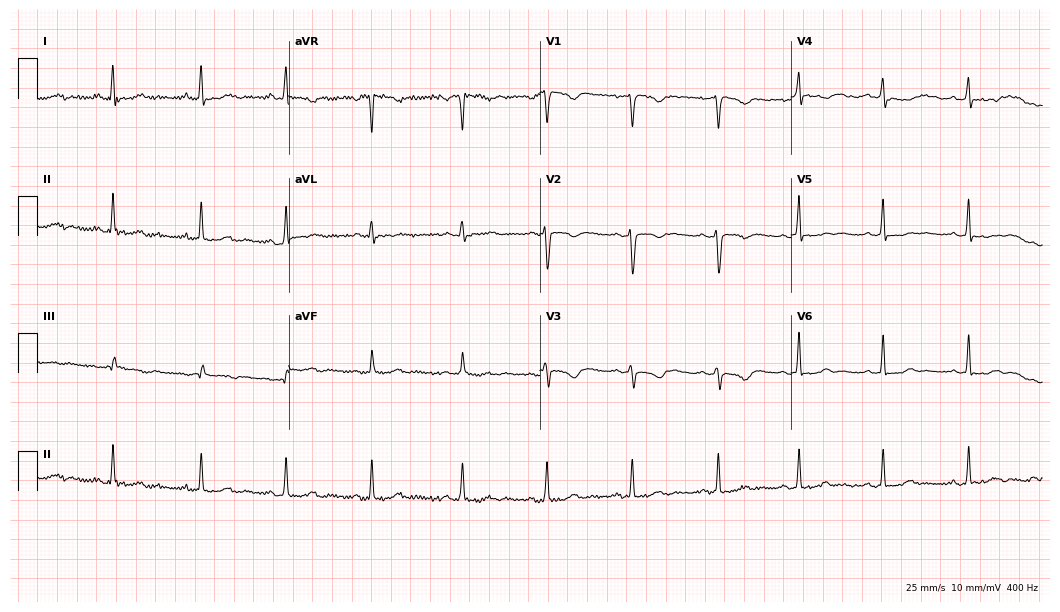
ECG — a 30-year-old female. Screened for six findings — first-degree AV block, right bundle branch block, left bundle branch block, sinus bradycardia, atrial fibrillation, sinus tachycardia — none is recorded. Findings outside these six are not listed.